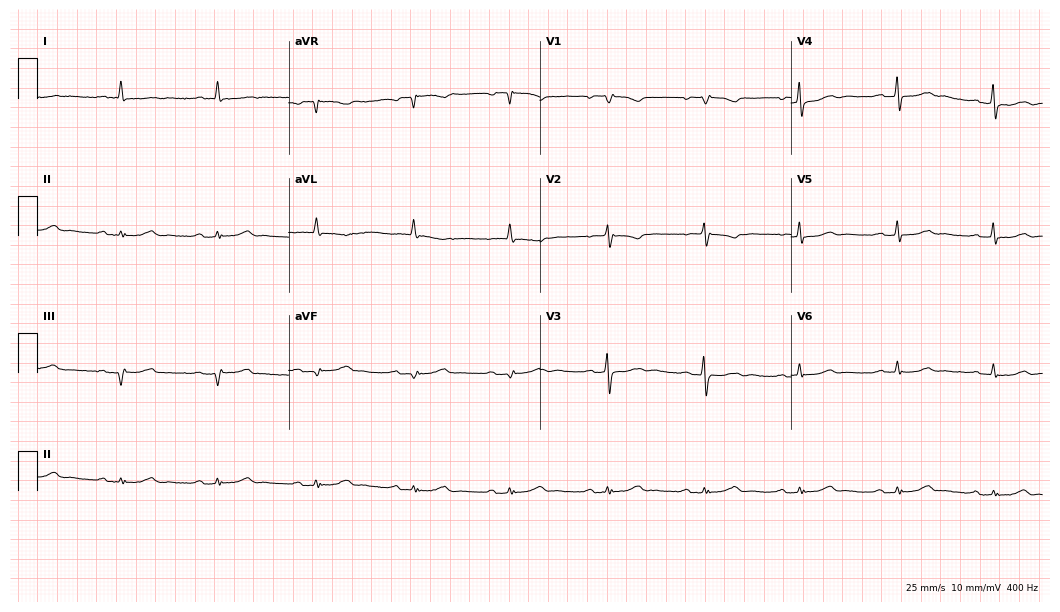
Standard 12-lead ECG recorded from a woman, 80 years old. None of these six findings is recorded: first-degree AV block, right bundle branch block (RBBB), left bundle branch block (LBBB), sinus bradycardia, atrial fibrillation (AF), sinus tachycardia. Findings outside these six are not listed.